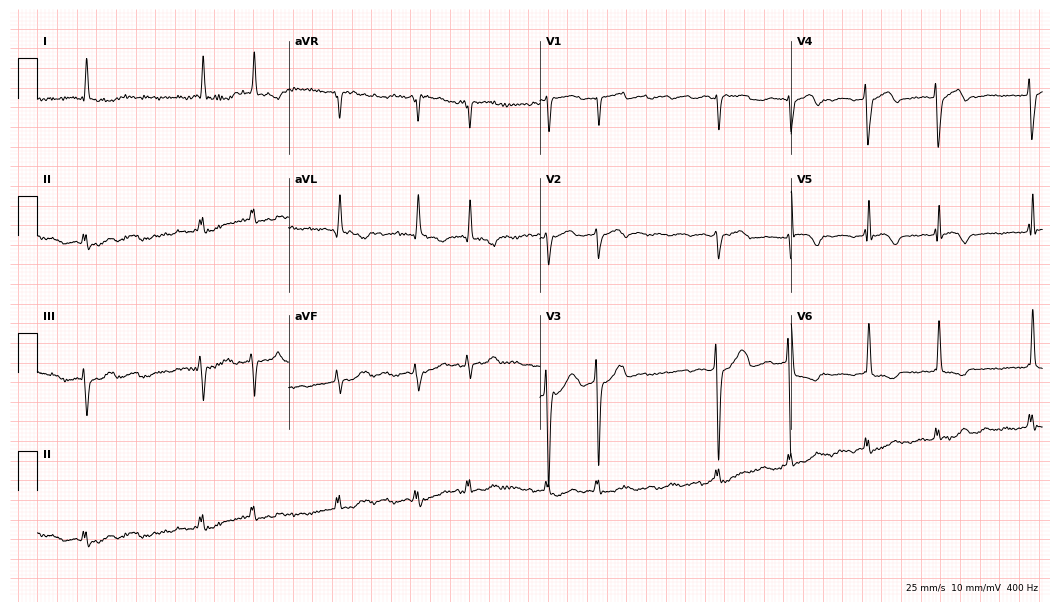
Electrocardiogram (10.2-second recording at 400 Hz), a 66-year-old woman. Of the six screened findings (first-degree AV block, right bundle branch block, left bundle branch block, sinus bradycardia, atrial fibrillation, sinus tachycardia), none is recorded. Findings outside these six are not listed.